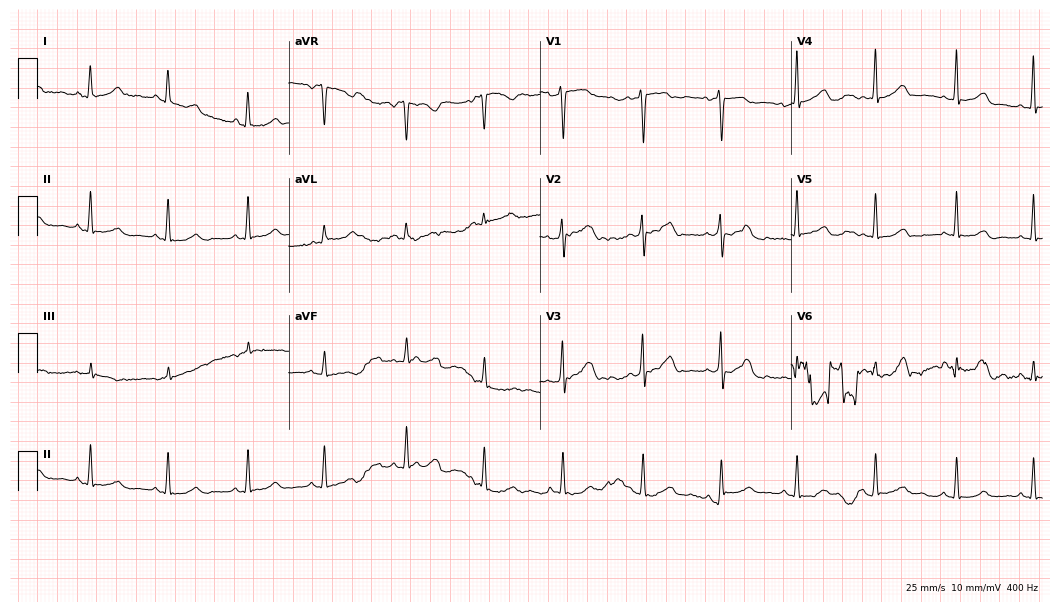
ECG — a female, 31 years old. Labelled as a normal ECG.